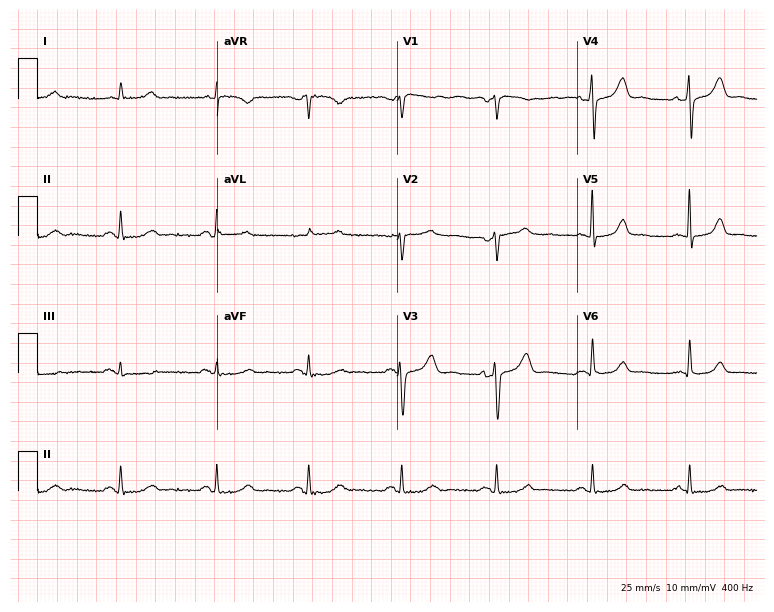
Resting 12-lead electrocardiogram (7.3-second recording at 400 Hz). Patient: a man, 75 years old. Read as a normal ECG.